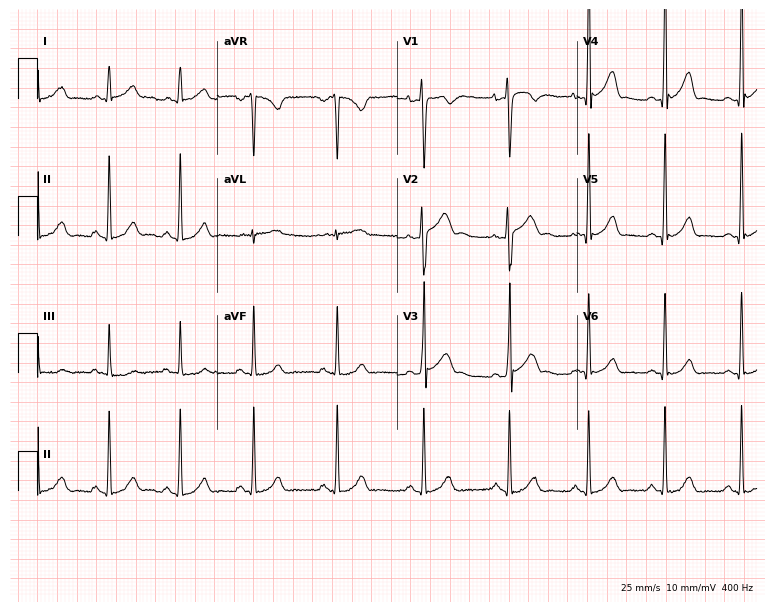
12-lead ECG (7.3-second recording at 400 Hz) from a 17-year-old male patient. Labelled as a normal ECG.